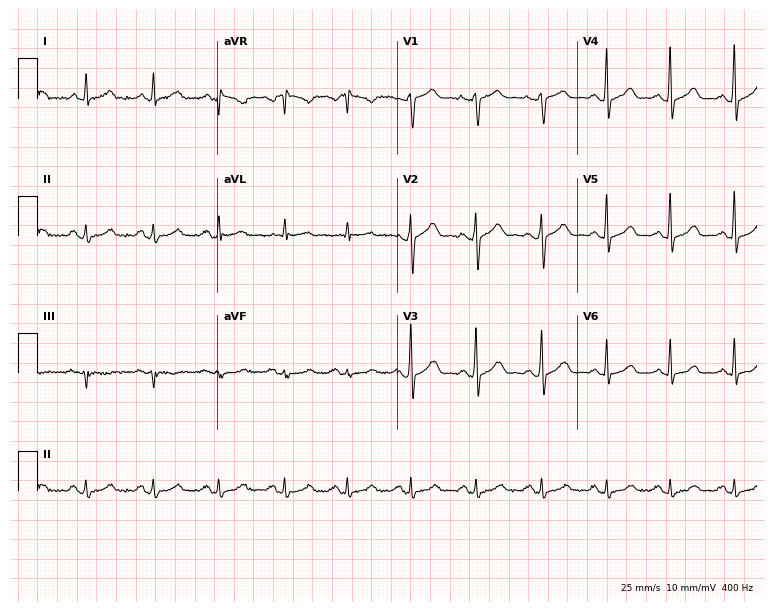
Standard 12-lead ECG recorded from a woman, 48 years old (7.3-second recording at 400 Hz). Read as a normal ECG.